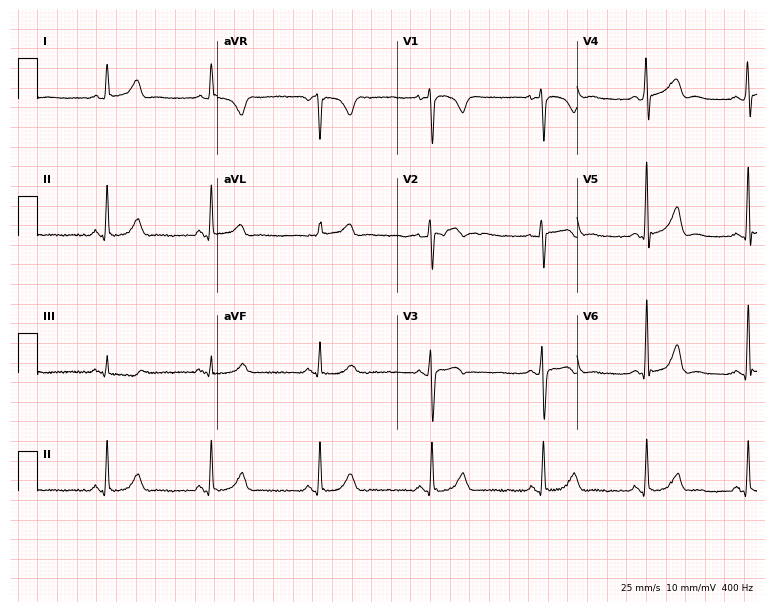
Resting 12-lead electrocardiogram. Patient: a female, 36 years old. Read as a normal ECG.